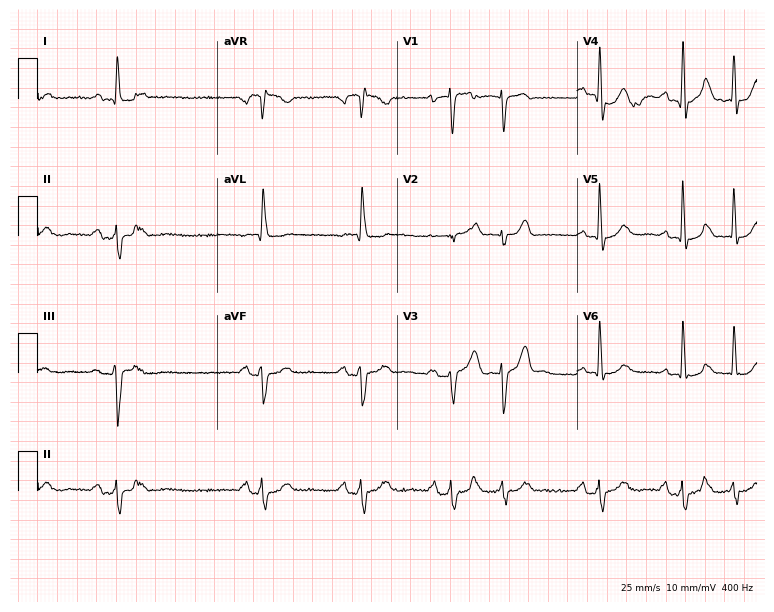
Standard 12-lead ECG recorded from an 84-year-old woman (7.3-second recording at 400 Hz). None of these six findings is recorded: first-degree AV block, right bundle branch block, left bundle branch block, sinus bradycardia, atrial fibrillation, sinus tachycardia. Other findings, if any, are not listed.